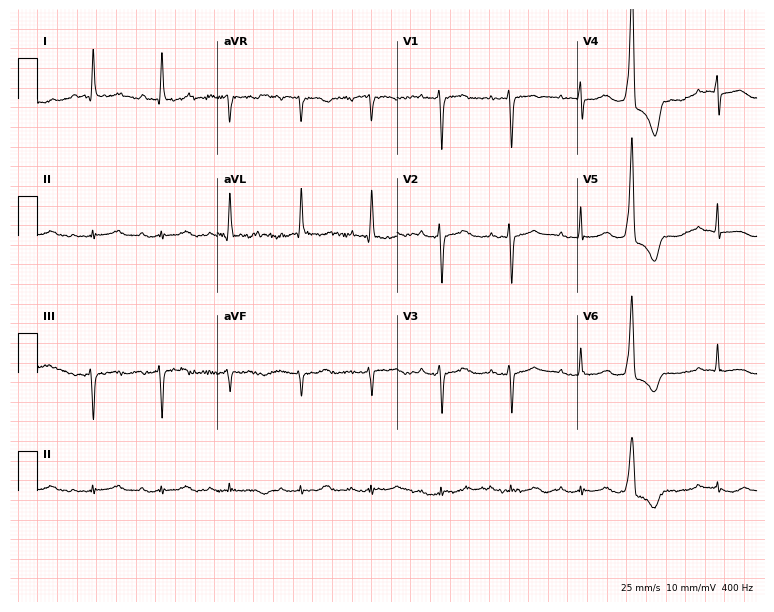
12-lead ECG from a woman, 90 years old or older (7.3-second recording at 400 Hz). Recorded interpretation: within normal limits.